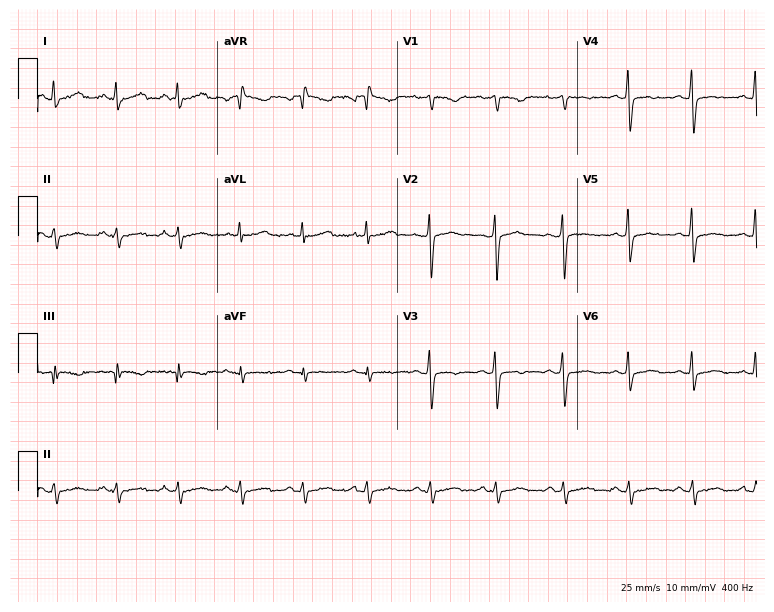
12-lead ECG from a female patient, 38 years old. Screened for six findings — first-degree AV block, right bundle branch block (RBBB), left bundle branch block (LBBB), sinus bradycardia, atrial fibrillation (AF), sinus tachycardia — none is recorded. Findings outside these six are not listed.